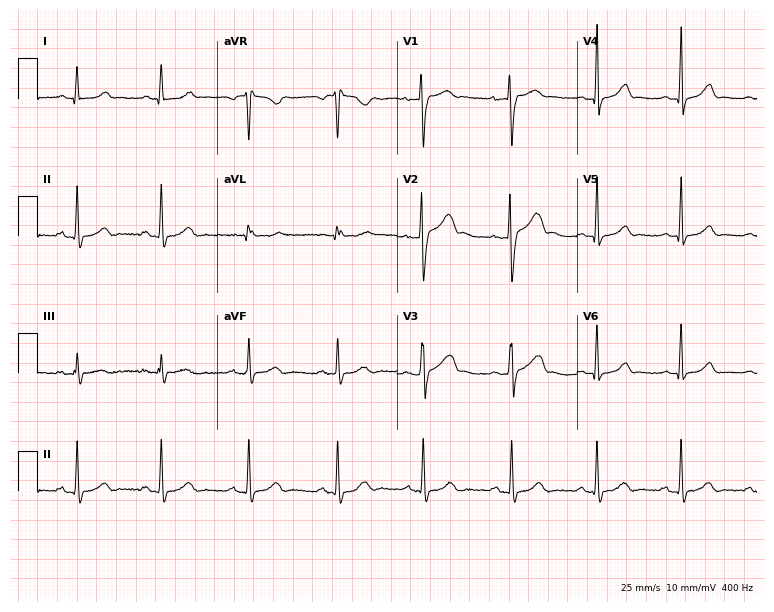
Electrocardiogram, a female patient, 23 years old. Of the six screened findings (first-degree AV block, right bundle branch block, left bundle branch block, sinus bradycardia, atrial fibrillation, sinus tachycardia), none is recorded. Other findings, if any, are not listed.